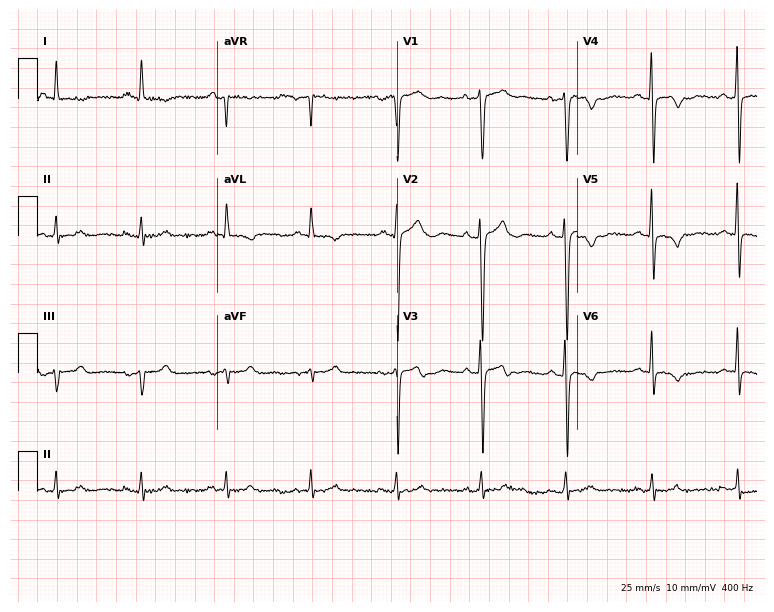
12-lead ECG from a male patient, 47 years old. No first-degree AV block, right bundle branch block, left bundle branch block, sinus bradycardia, atrial fibrillation or sinus tachycardia recorded for this tracing.